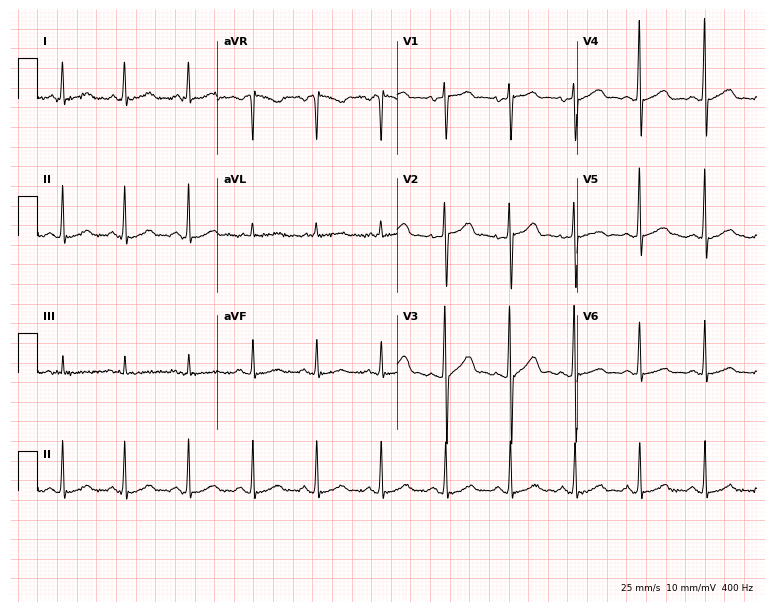
ECG — a female patient, 63 years old. Labelled as a normal ECG.